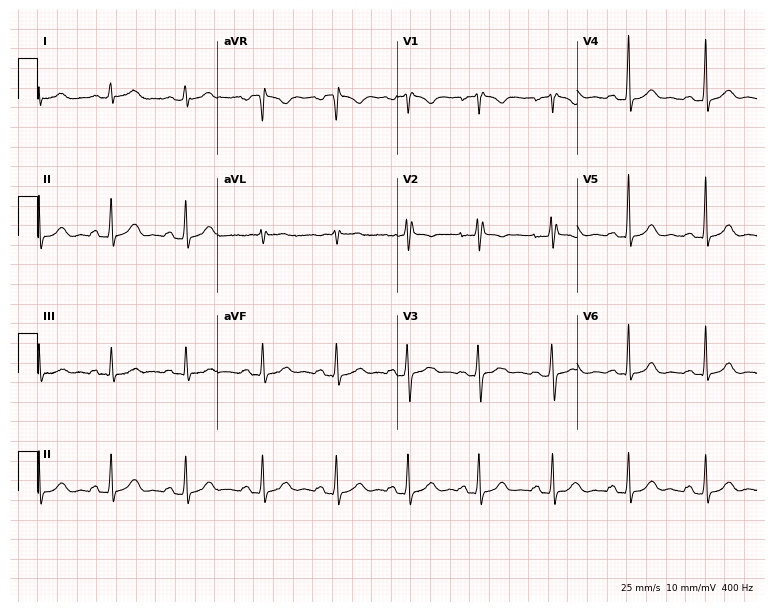
12-lead ECG from a 36-year-old female patient. Screened for six findings — first-degree AV block, right bundle branch block, left bundle branch block, sinus bradycardia, atrial fibrillation, sinus tachycardia — none is recorded. Findings outside these six are not listed.